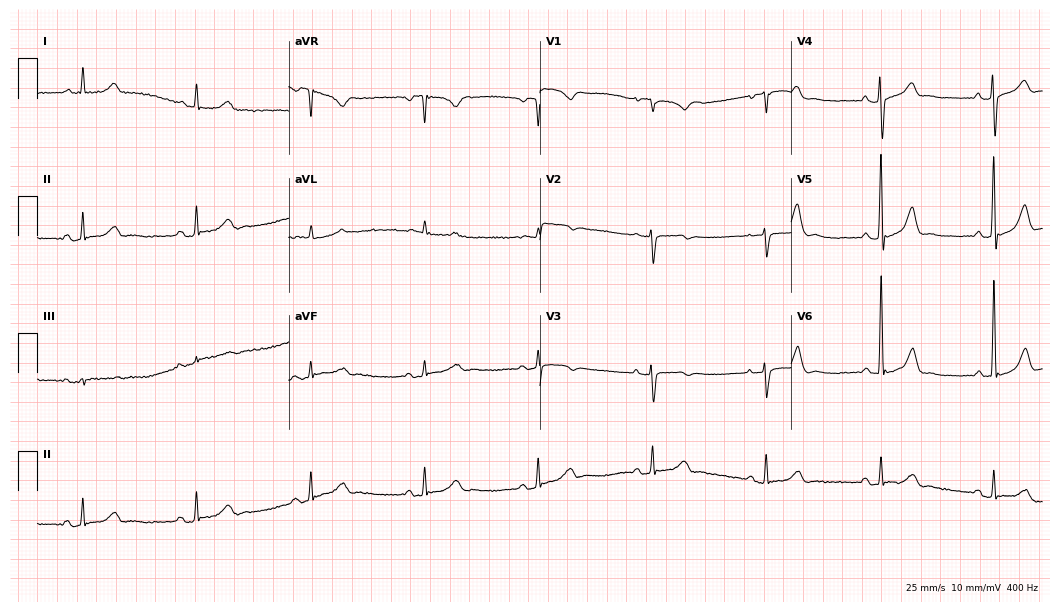
Electrocardiogram (10.2-second recording at 400 Hz), a 70-year-old male patient. Of the six screened findings (first-degree AV block, right bundle branch block (RBBB), left bundle branch block (LBBB), sinus bradycardia, atrial fibrillation (AF), sinus tachycardia), none is recorded.